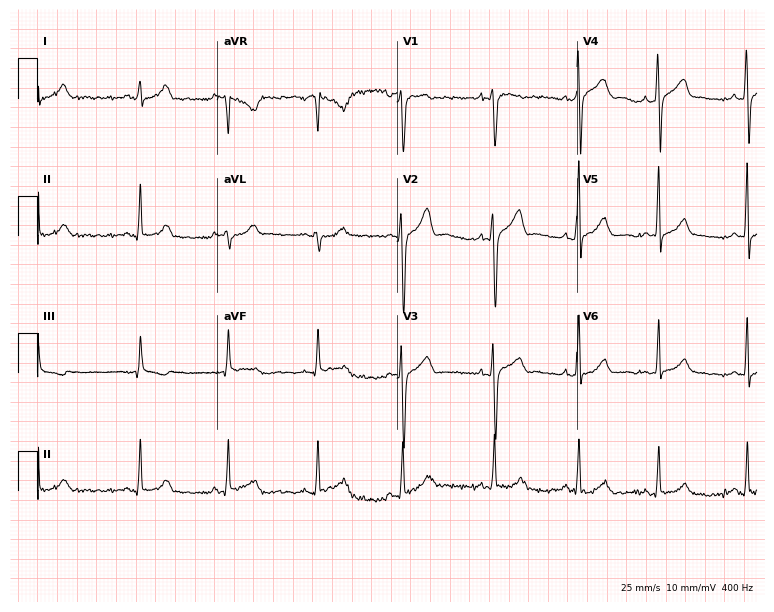
12-lead ECG from a man, 35 years old (7.3-second recording at 400 Hz). No first-degree AV block, right bundle branch block, left bundle branch block, sinus bradycardia, atrial fibrillation or sinus tachycardia recorded for this tracing. Findings outside these six are not listed.